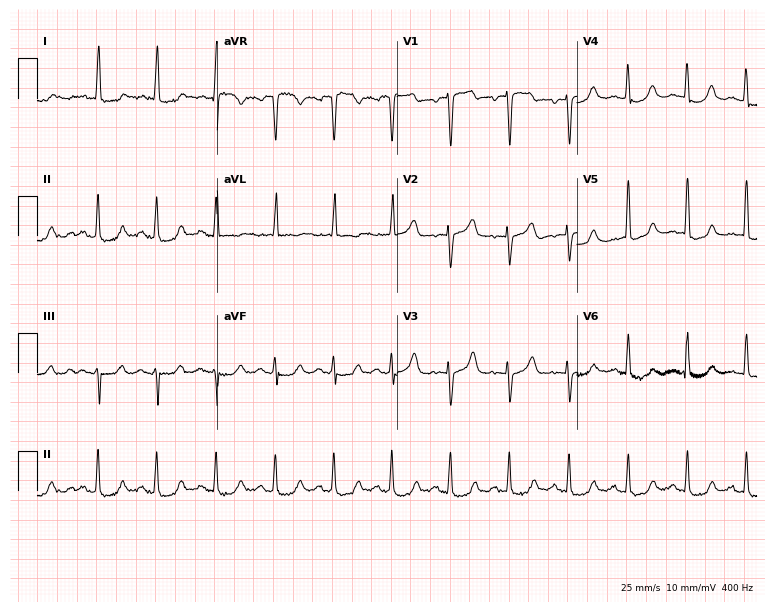
12-lead ECG from a 72-year-old woman. Screened for six findings — first-degree AV block, right bundle branch block, left bundle branch block, sinus bradycardia, atrial fibrillation, sinus tachycardia — none is recorded.